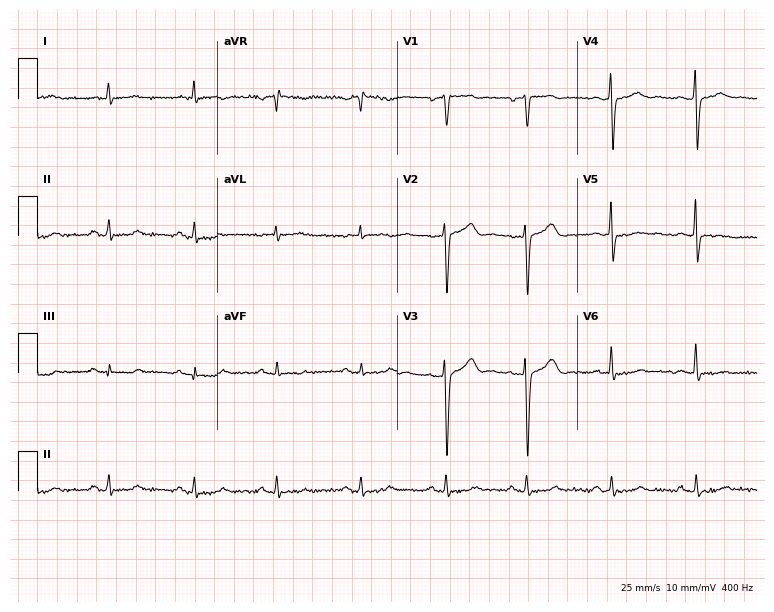
Standard 12-lead ECG recorded from a 42-year-old man (7.3-second recording at 400 Hz). Read as a normal ECG.